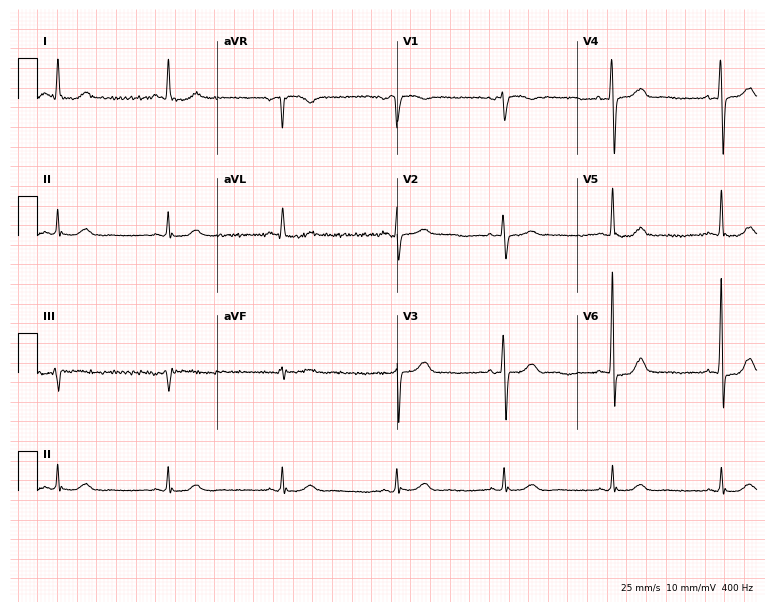
12-lead ECG (7.3-second recording at 400 Hz) from a female, 79 years old. Labelled as a normal ECG.